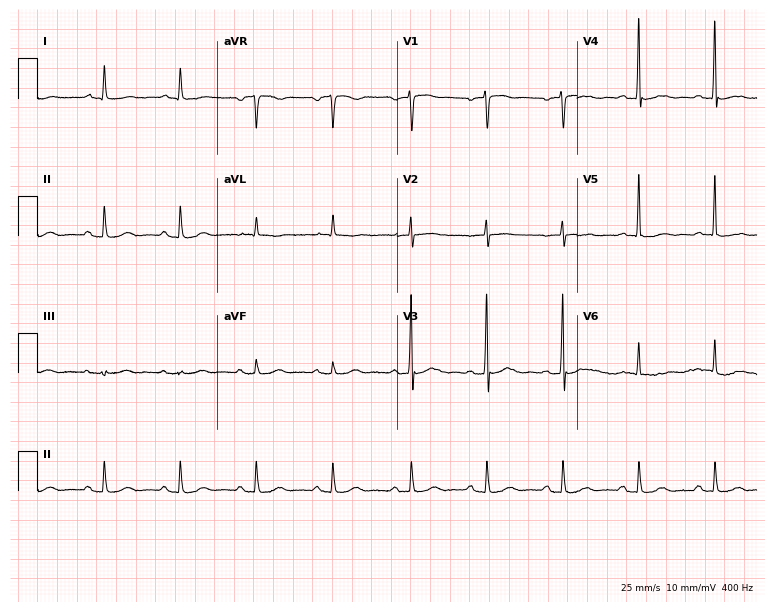
ECG — an 84-year-old male. Labelled as a normal ECG.